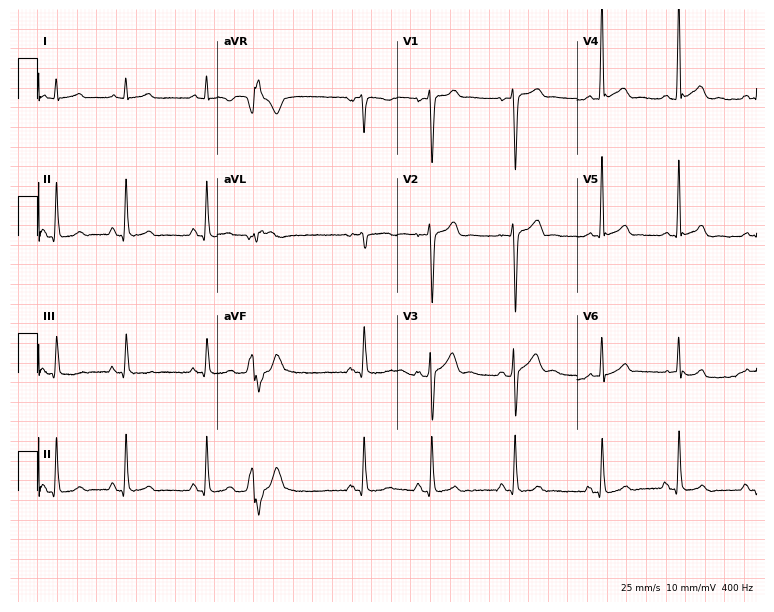
12-lead ECG from an 18-year-old male patient. No first-degree AV block, right bundle branch block, left bundle branch block, sinus bradycardia, atrial fibrillation or sinus tachycardia recorded for this tracing.